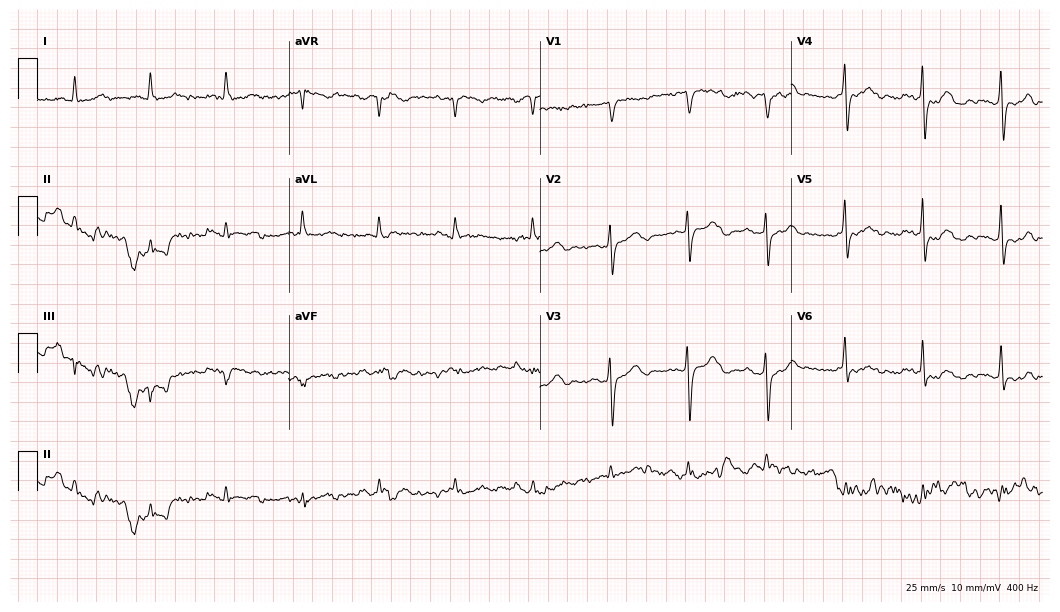
12-lead ECG from a 76-year-old man. Screened for six findings — first-degree AV block, right bundle branch block, left bundle branch block, sinus bradycardia, atrial fibrillation, sinus tachycardia — none is recorded. Findings outside these six are not listed.